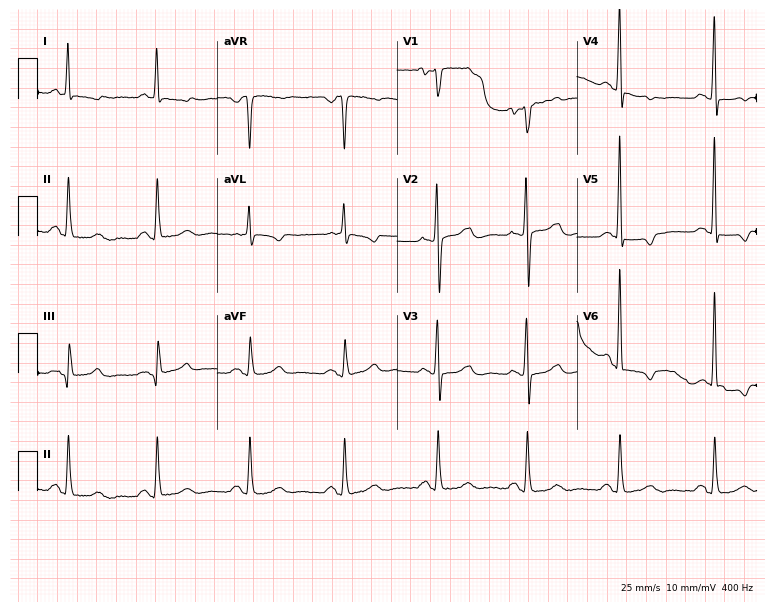
Resting 12-lead electrocardiogram. Patient: a female, 73 years old. None of these six findings is recorded: first-degree AV block, right bundle branch block, left bundle branch block, sinus bradycardia, atrial fibrillation, sinus tachycardia. Other findings, if any, are not listed.